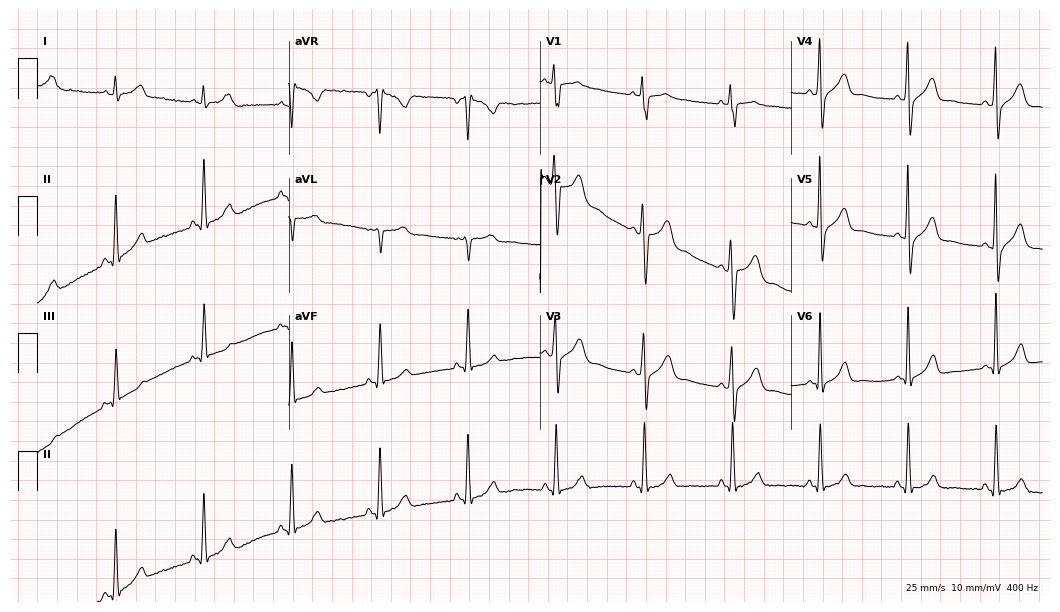
Standard 12-lead ECG recorded from a woman, 18 years old. None of these six findings is recorded: first-degree AV block, right bundle branch block (RBBB), left bundle branch block (LBBB), sinus bradycardia, atrial fibrillation (AF), sinus tachycardia. Other findings, if any, are not listed.